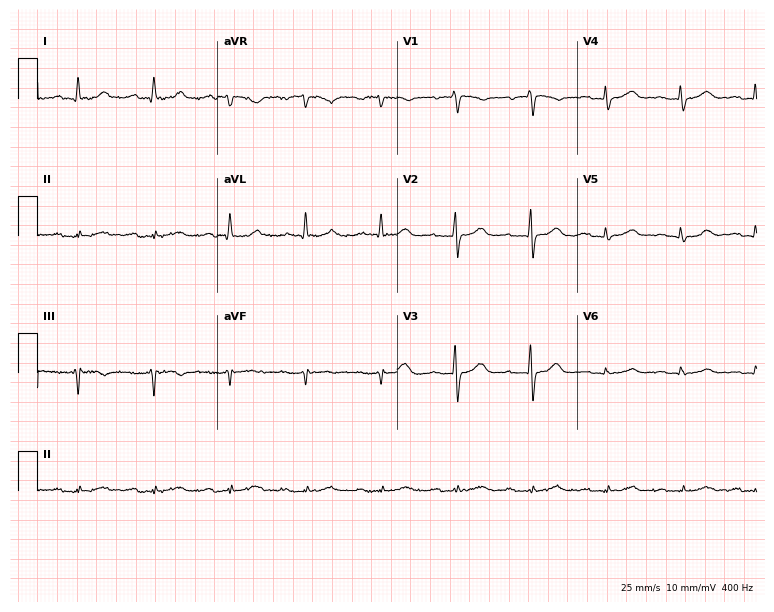
Electrocardiogram, a 68-year-old male. Of the six screened findings (first-degree AV block, right bundle branch block, left bundle branch block, sinus bradycardia, atrial fibrillation, sinus tachycardia), none is recorded.